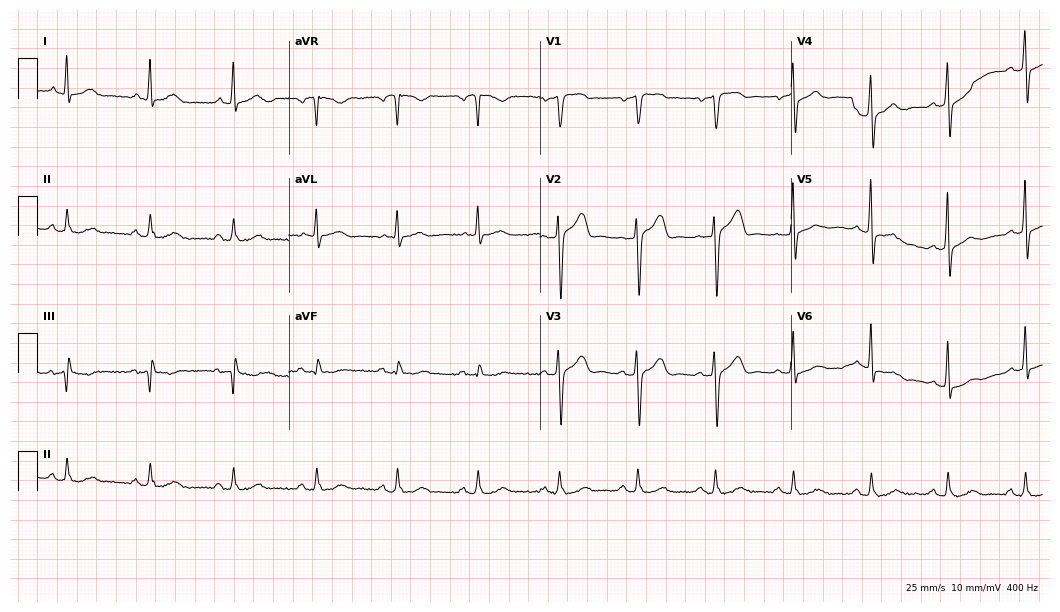
Resting 12-lead electrocardiogram. Patient: a 70-year-old man. None of these six findings is recorded: first-degree AV block, right bundle branch block, left bundle branch block, sinus bradycardia, atrial fibrillation, sinus tachycardia.